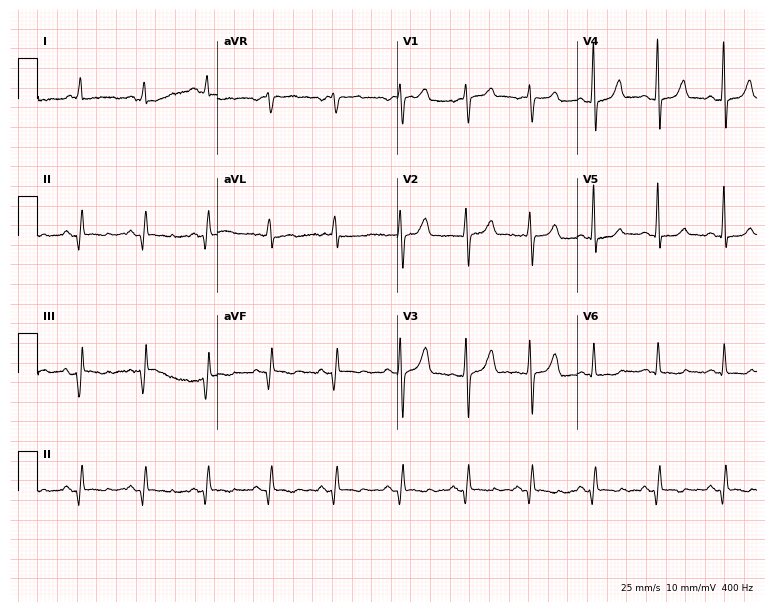
Standard 12-lead ECG recorded from a 47-year-old woman. None of these six findings is recorded: first-degree AV block, right bundle branch block (RBBB), left bundle branch block (LBBB), sinus bradycardia, atrial fibrillation (AF), sinus tachycardia. Other findings, if any, are not listed.